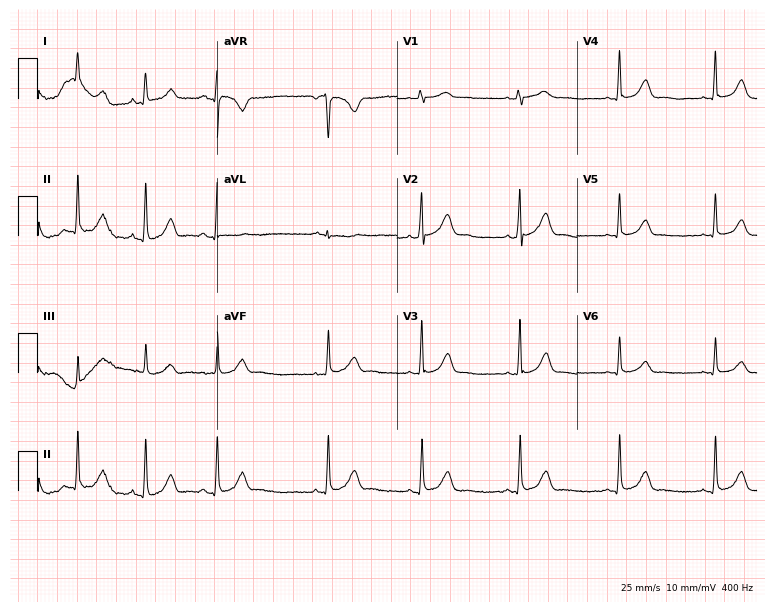
Resting 12-lead electrocardiogram. Patient: a female, 19 years old. None of these six findings is recorded: first-degree AV block, right bundle branch block, left bundle branch block, sinus bradycardia, atrial fibrillation, sinus tachycardia. Other findings, if any, are not listed.